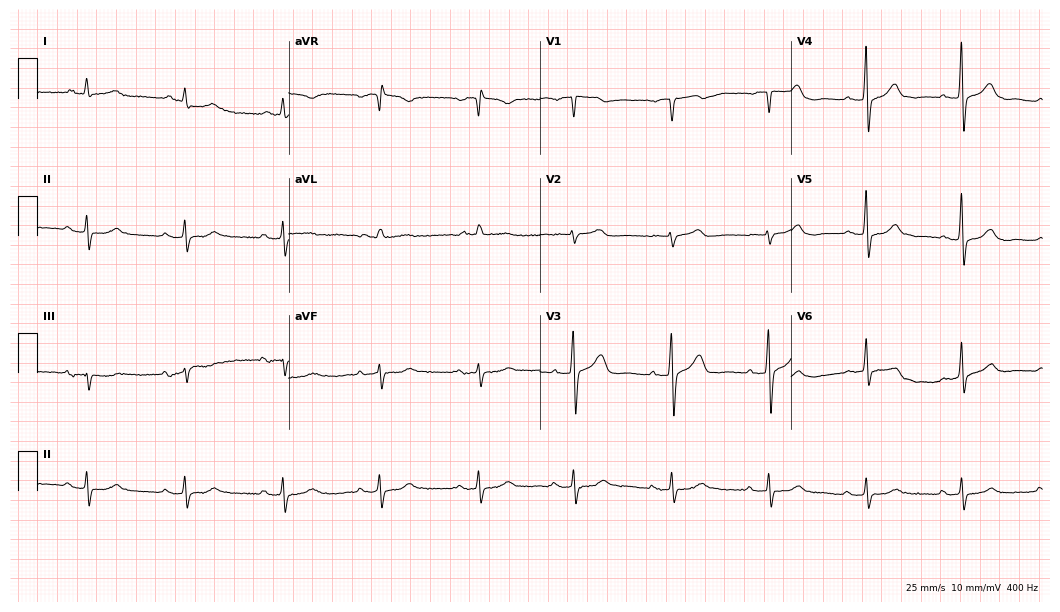
Electrocardiogram (10.2-second recording at 400 Hz), a 77-year-old female. Overall reading on record: normal ECG.